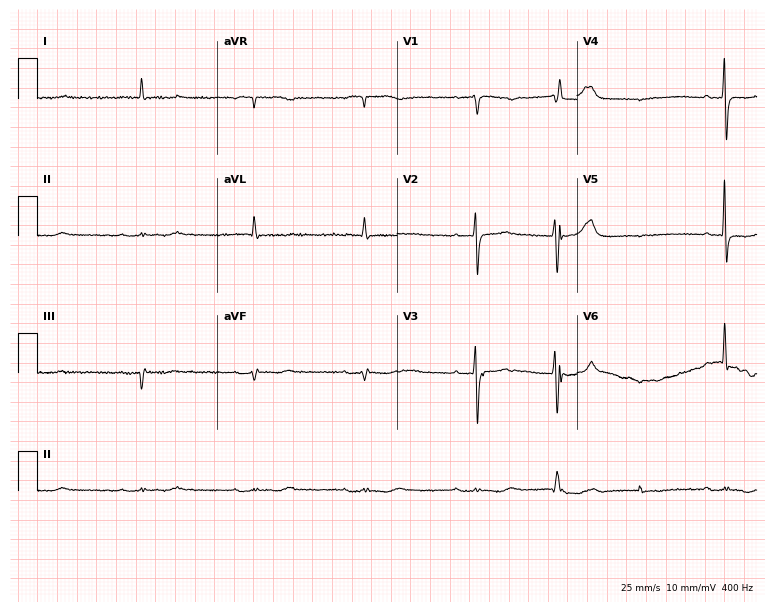
12-lead ECG (7.3-second recording at 400 Hz) from an 85-year-old female. Screened for six findings — first-degree AV block, right bundle branch block, left bundle branch block, sinus bradycardia, atrial fibrillation, sinus tachycardia — none is recorded. Only these six findings were labelled.